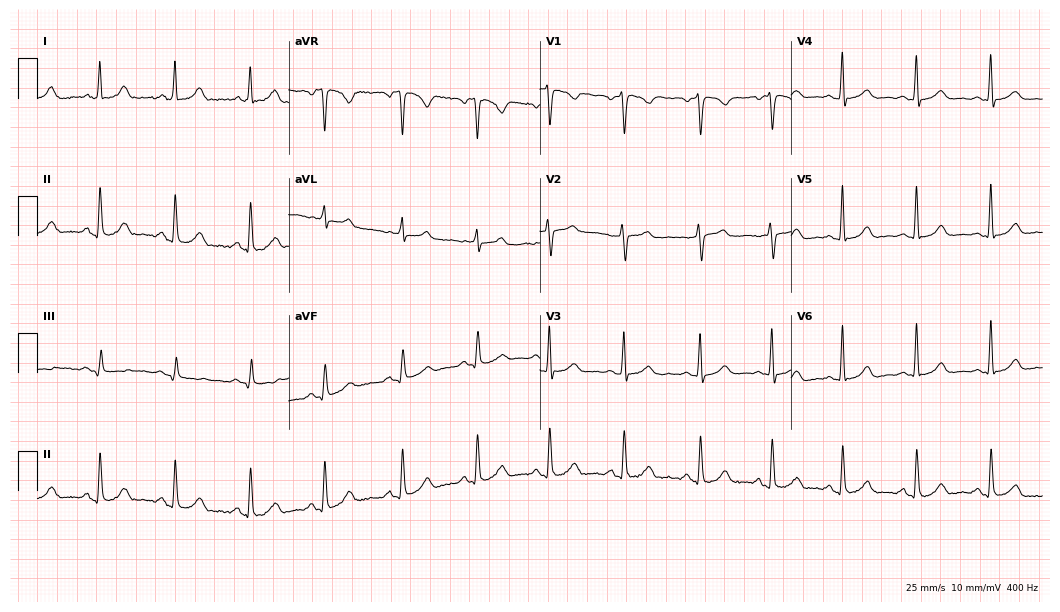
12-lead ECG from a female patient, 47 years old. Recorded interpretation: within normal limits.